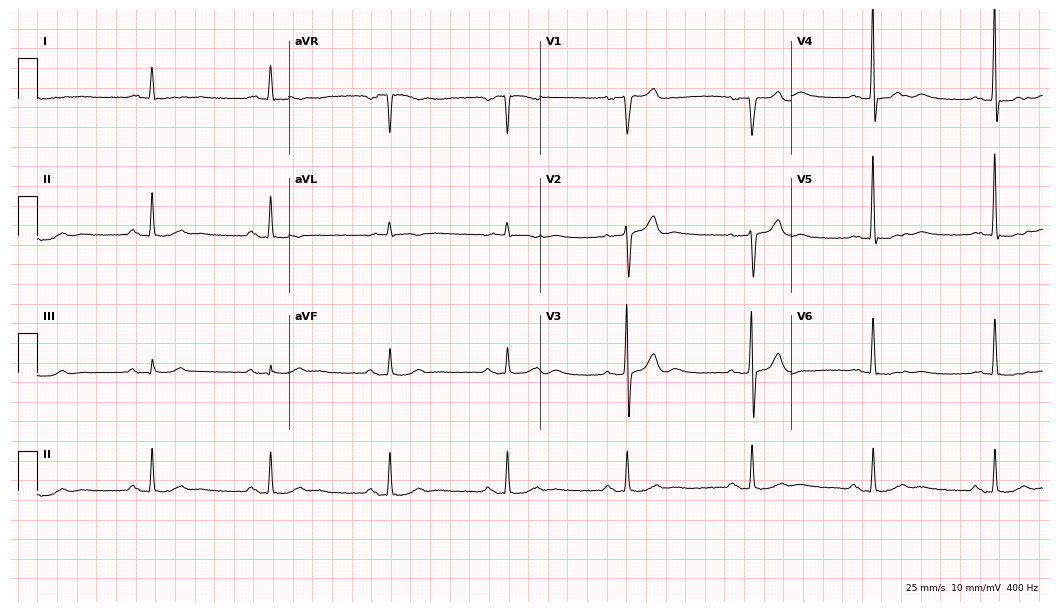
Resting 12-lead electrocardiogram. Patient: an 80-year-old man. The tracing shows first-degree AV block, sinus bradycardia (a sinus rate of 50 beats per minute or less).